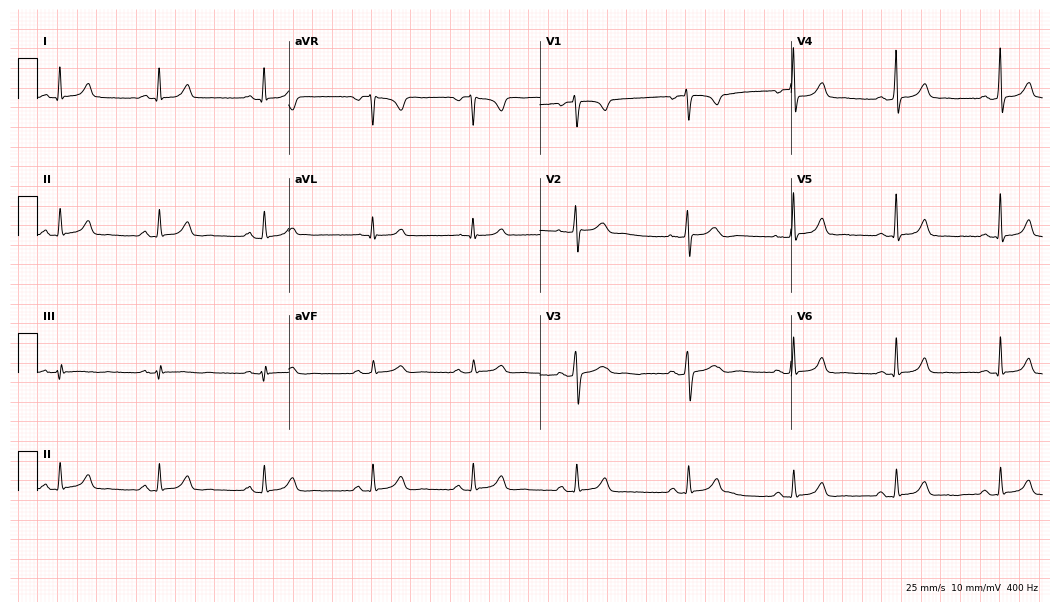
Resting 12-lead electrocardiogram. Patient: a 31-year-old female. None of these six findings is recorded: first-degree AV block, right bundle branch block, left bundle branch block, sinus bradycardia, atrial fibrillation, sinus tachycardia.